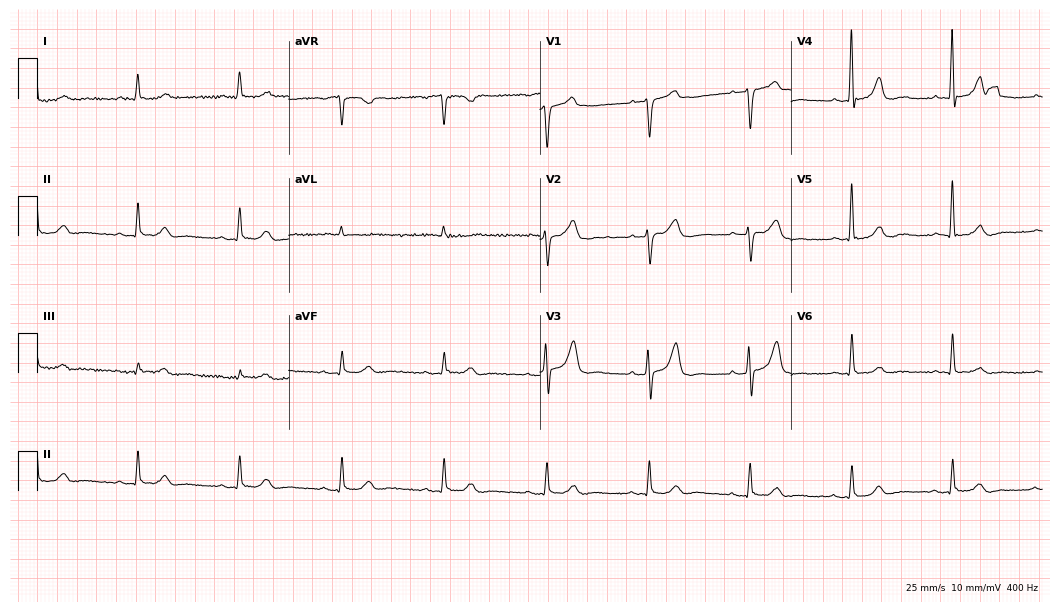
12-lead ECG from a man, 81 years old. Screened for six findings — first-degree AV block, right bundle branch block (RBBB), left bundle branch block (LBBB), sinus bradycardia, atrial fibrillation (AF), sinus tachycardia — none is recorded. Findings outside these six are not listed.